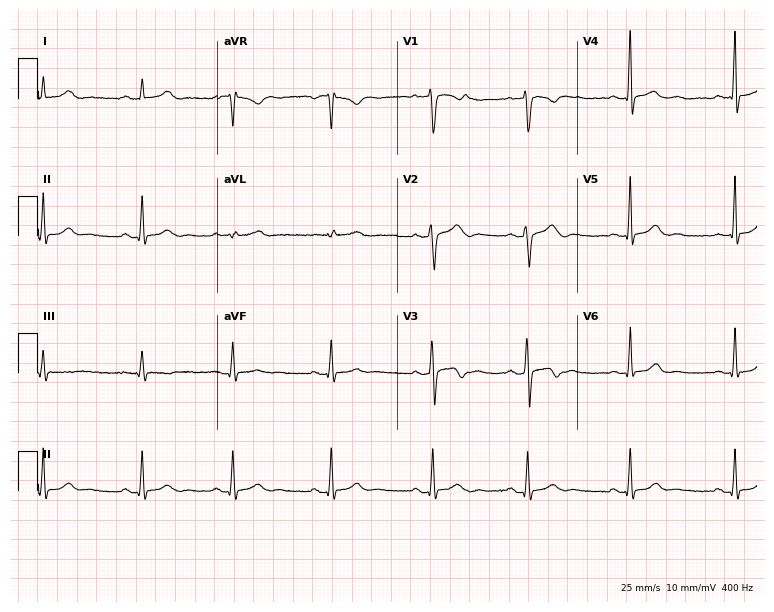
Standard 12-lead ECG recorded from a female patient, 34 years old (7.3-second recording at 400 Hz). Read as a normal ECG.